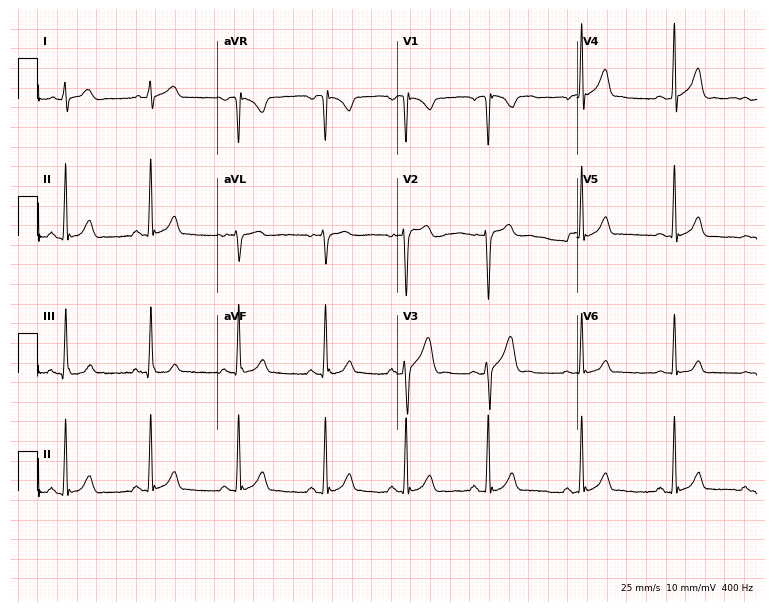
Standard 12-lead ECG recorded from a male patient, 17 years old. Read as a normal ECG.